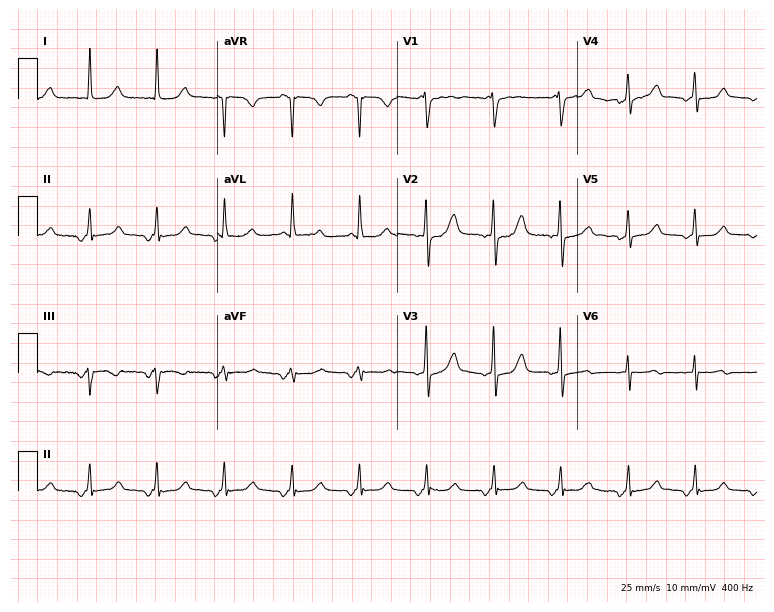
12-lead ECG from a woman, 73 years old. Screened for six findings — first-degree AV block, right bundle branch block, left bundle branch block, sinus bradycardia, atrial fibrillation, sinus tachycardia — none is recorded. Other findings, if any, are not listed.